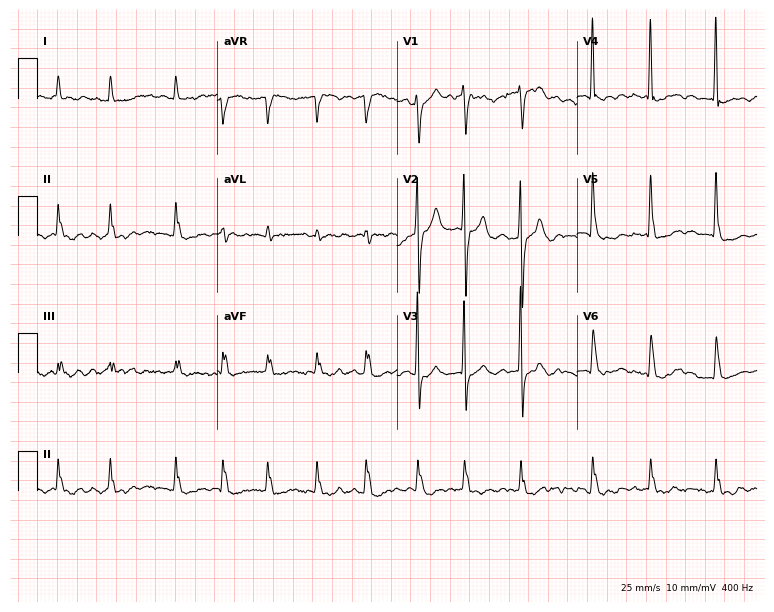
Resting 12-lead electrocardiogram. Patient: a woman, 82 years old. The tracing shows atrial fibrillation.